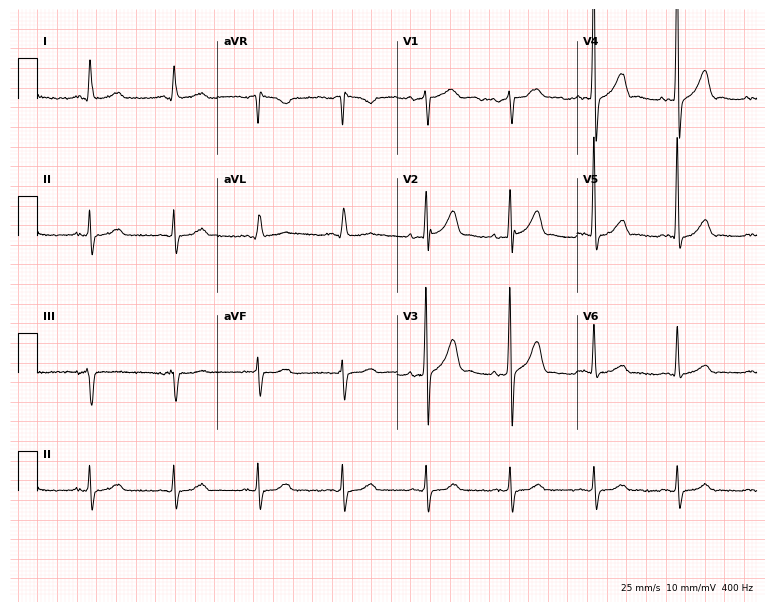
ECG (7.3-second recording at 400 Hz) — an 81-year-old female. Screened for six findings — first-degree AV block, right bundle branch block (RBBB), left bundle branch block (LBBB), sinus bradycardia, atrial fibrillation (AF), sinus tachycardia — none is recorded. Only these six findings were labelled.